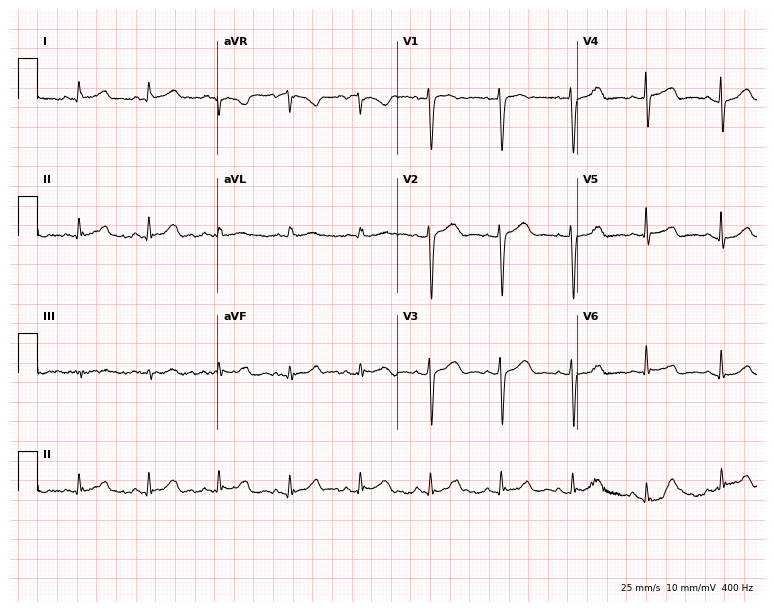
ECG (7.3-second recording at 400 Hz) — a female, 68 years old. Labelled as a normal ECG.